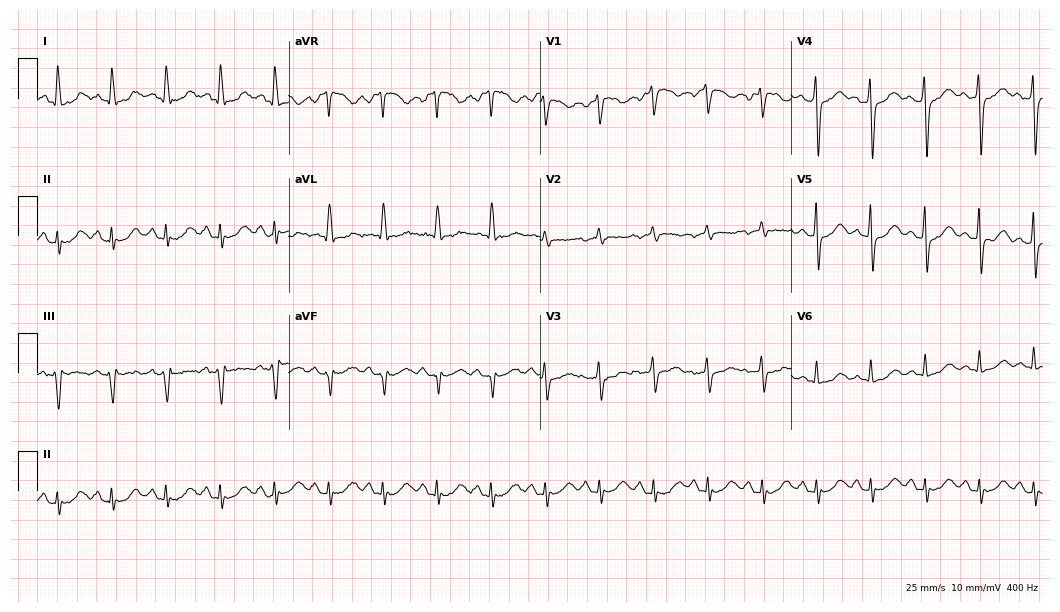
12-lead ECG from a 42-year-old woman. No first-degree AV block, right bundle branch block, left bundle branch block, sinus bradycardia, atrial fibrillation or sinus tachycardia recorded for this tracing. Findings outside these six are not listed.